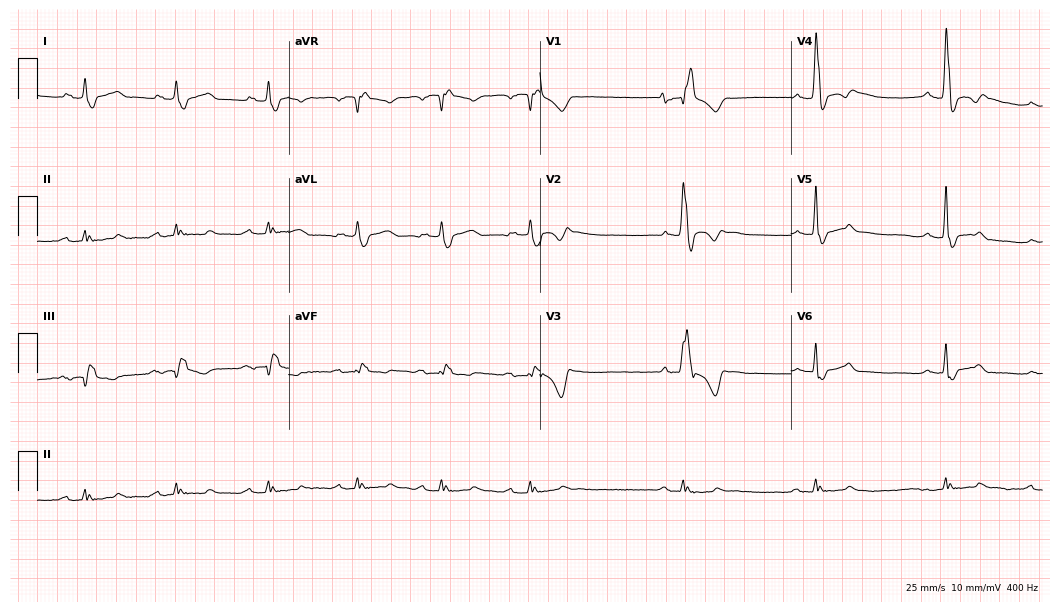
Resting 12-lead electrocardiogram. Patient: a 68-year-old male. The tracing shows first-degree AV block, right bundle branch block.